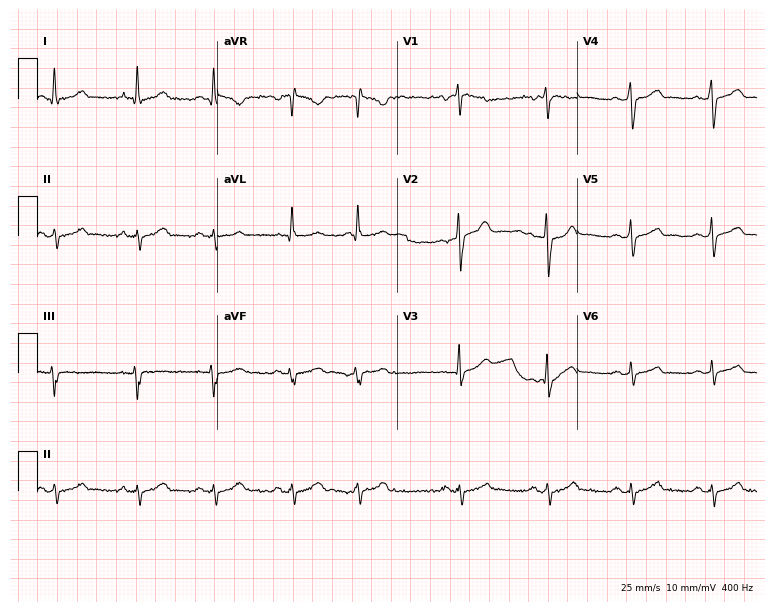
Resting 12-lead electrocardiogram. Patient: a 31-year-old male. None of these six findings is recorded: first-degree AV block, right bundle branch block (RBBB), left bundle branch block (LBBB), sinus bradycardia, atrial fibrillation (AF), sinus tachycardia. Only these six findings were labelled.